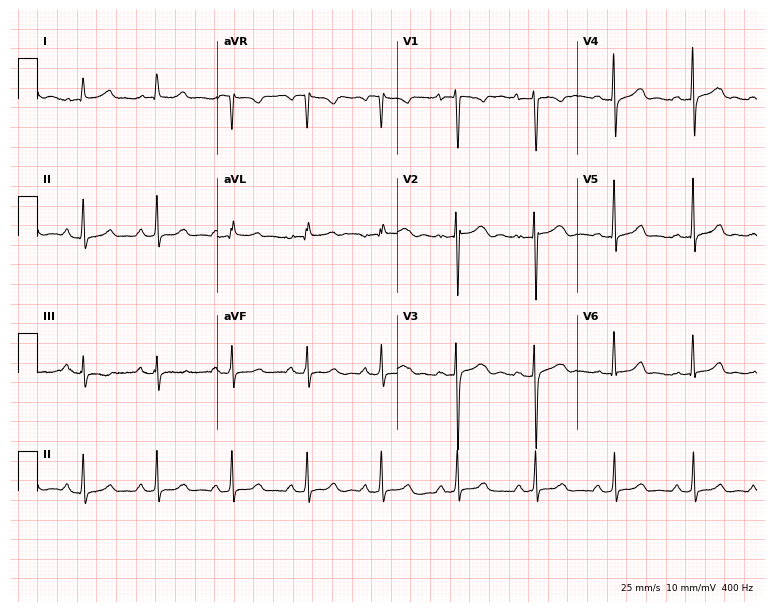
Electrocardiogram (7.3-second recording at 400 Hz), a female patient, 28 years old. Overall reading on record: normal ECG.